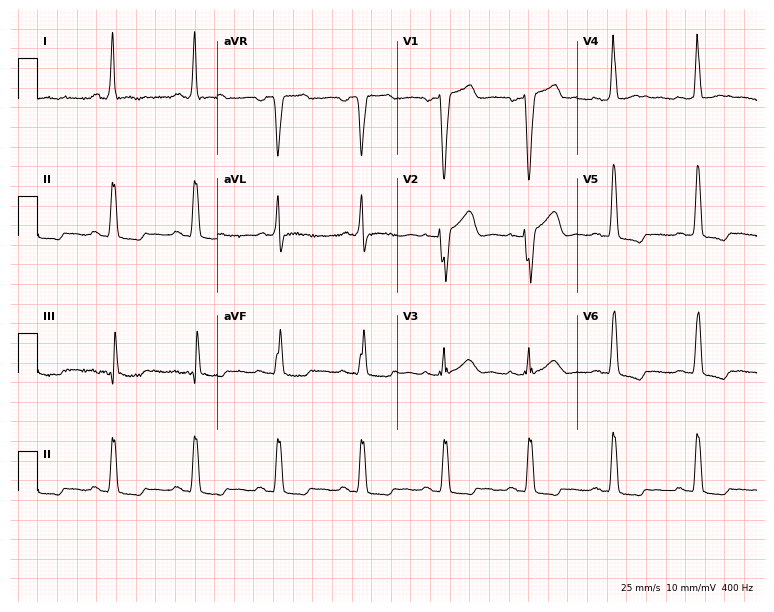
Electrocardiogram, a 76-year-old woman. Interpretation includes left bundle branch block (LBBB).